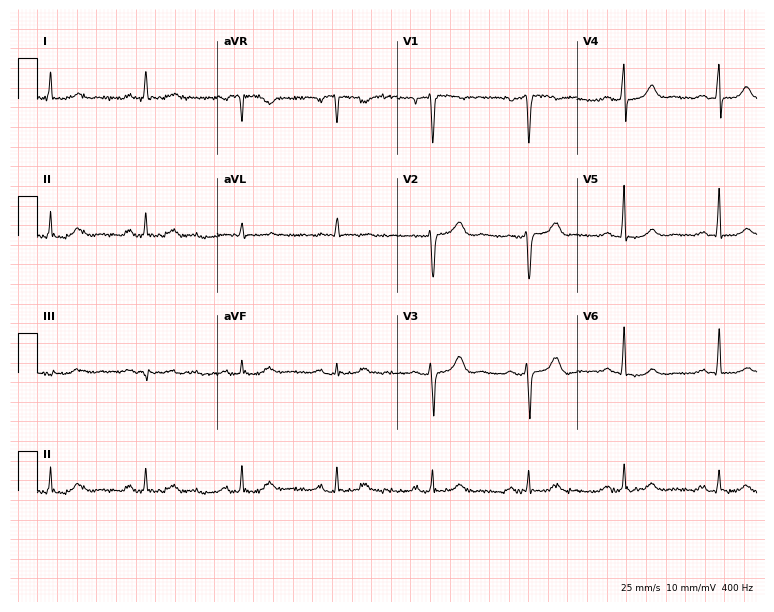
12-lead ECG from a male, 81 years old. Labelled as a normal ECG.